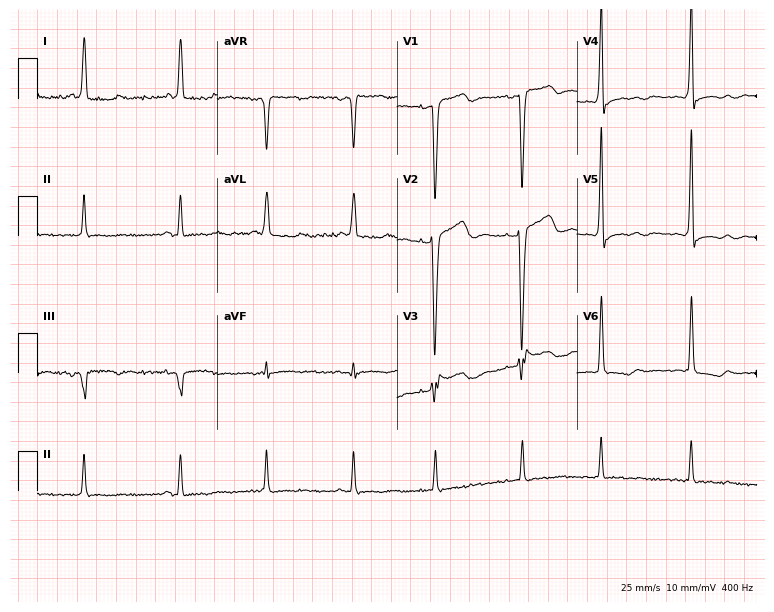
12-lead ECG from a 72-year-old female patient (7.3-second recording at 400 Hz). No first-degree AV block, right bundle branch block, left bundle branch block, sinus bradycardia, atrial fibrillation or sinus tachycardia recorded for this tracing. Only these six findings were labelled.